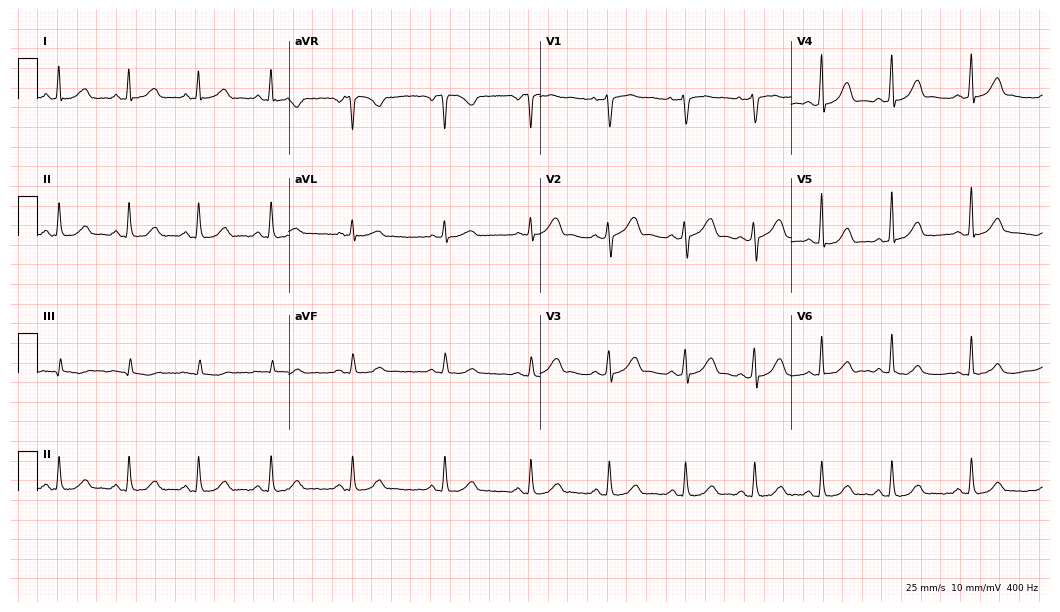
Standard 12-lead ECG recorded from a female patient, 36 years old (10.2-second recording at 400 Hz). Read as a normal ECG.